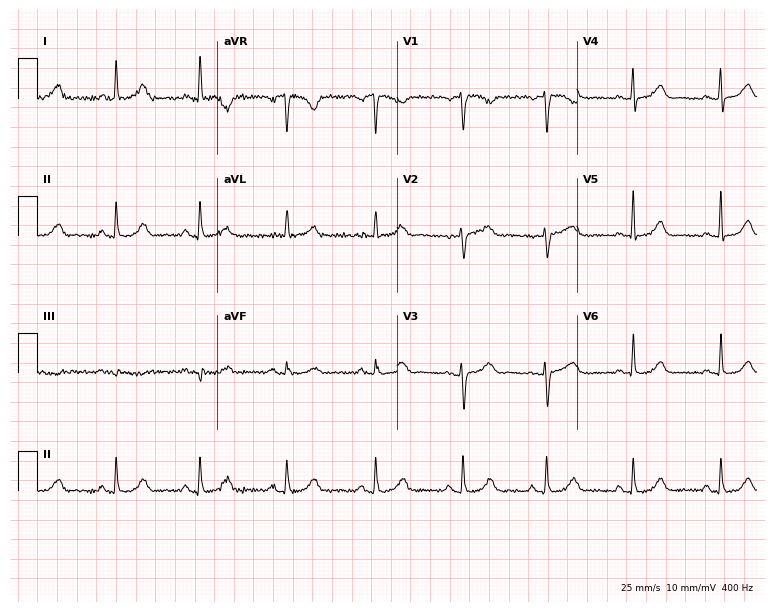
12-lead ECG from a male patient, 64 years old. Recorded interpretation: within normal limits.